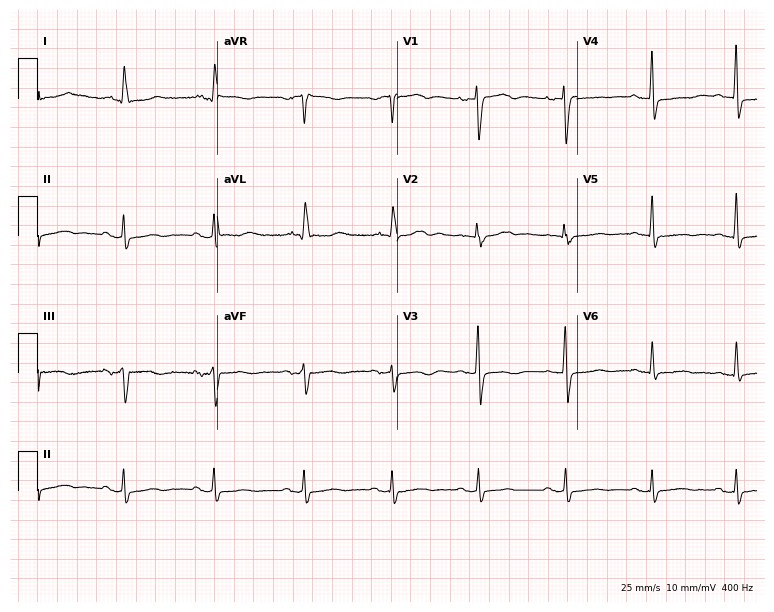
ECG — a female, 62 years old. Screened for six findings — first-degree AV block, right bundle branch block (RBBB), left bundle branch block (LBBB), sinus bradycardia, atrial fibrillation (AF), sinus tachycardia — none is recorded. Only these six findings were labelled.